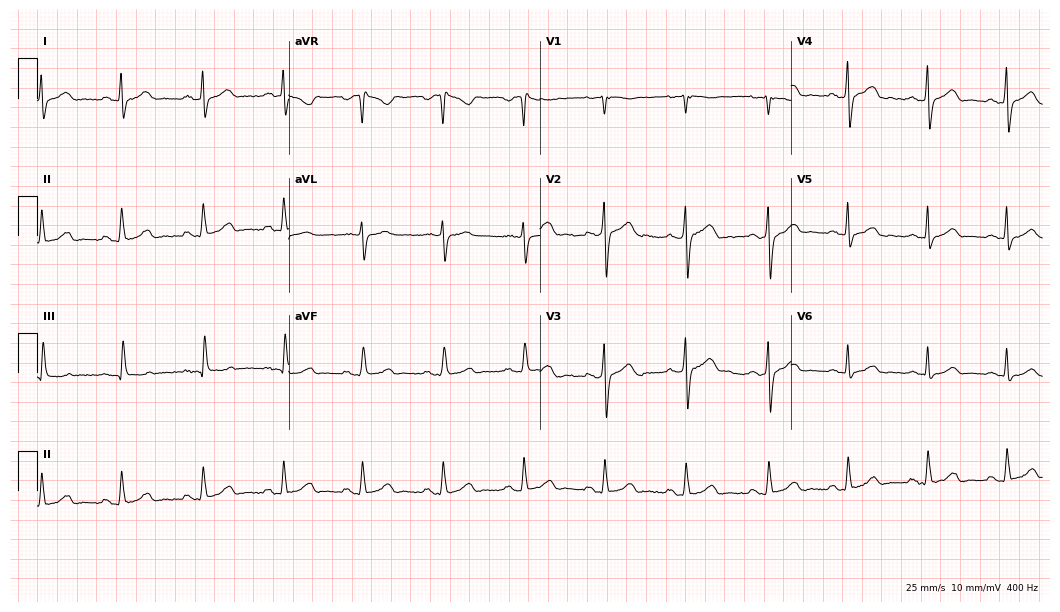
12-lead ECG from a 32-year-old male. Recorded interpretation: within normal limits.